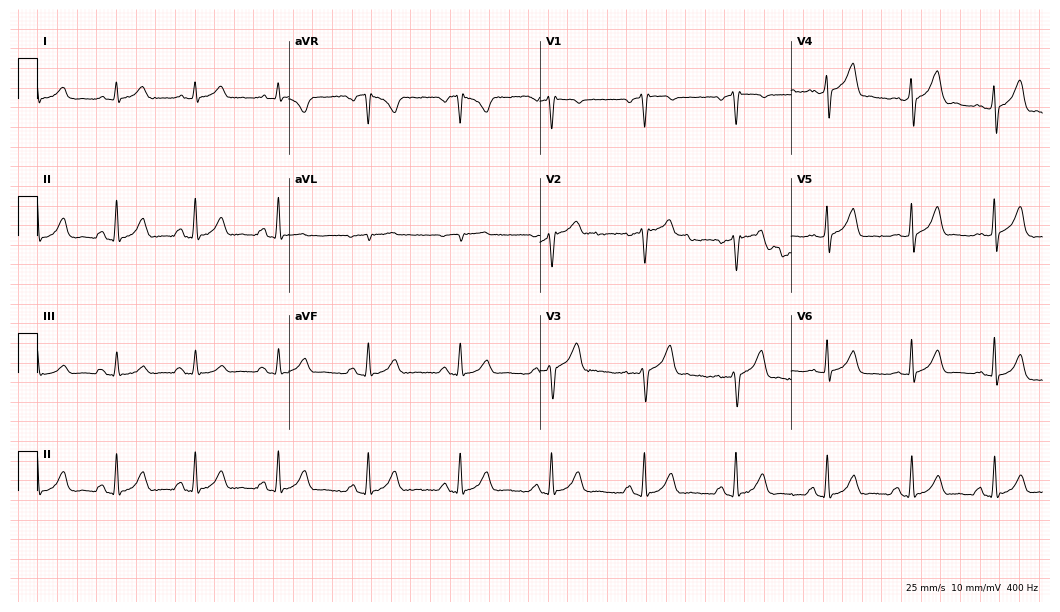
Electrocardiogram, a 39-year-old male. Overall reading on record: normal ECG.